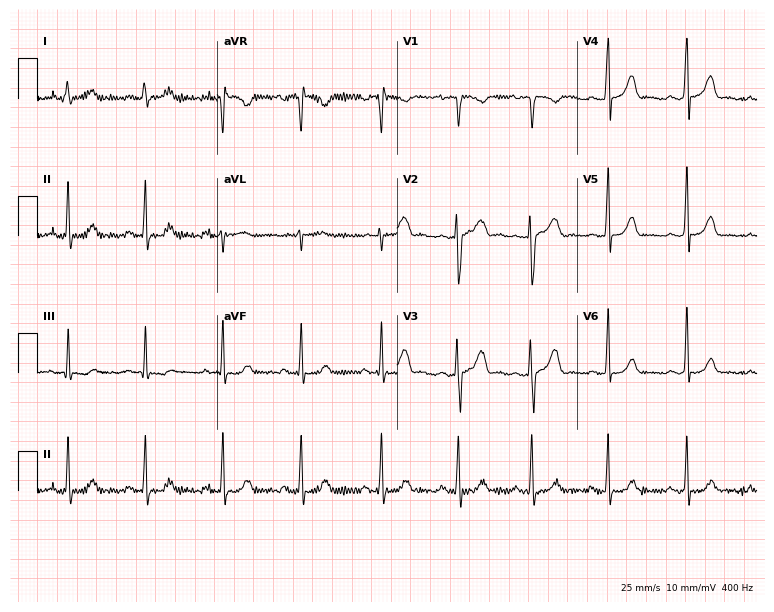
ECG (7.3-second recording at 400 Hz) — a female, 20 years old. Labelled as a normal ECG.